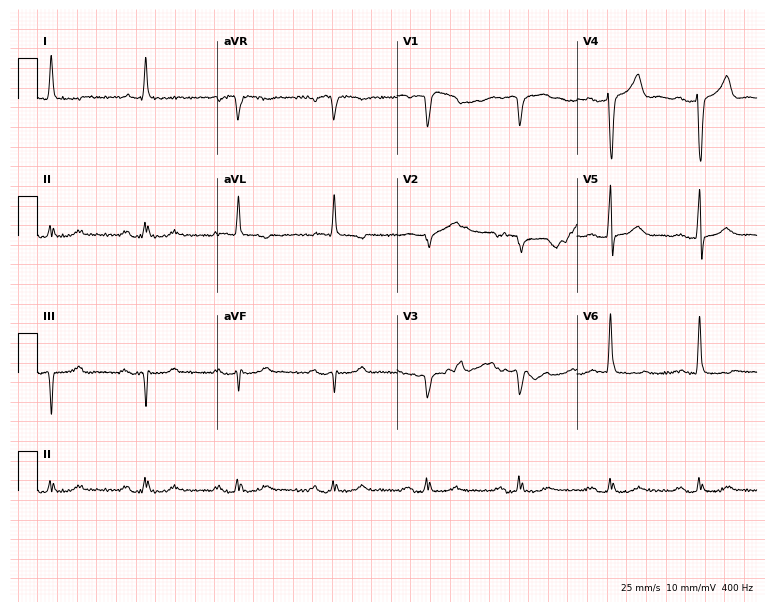
Electrocardiogram, a man, 84 years old. Of the six screened findings (first-degree AV block, right bundle branch block, left bundle branch block, sinus bradycardia, atrial fibrillation, sinus tachycardia), none is recorded.